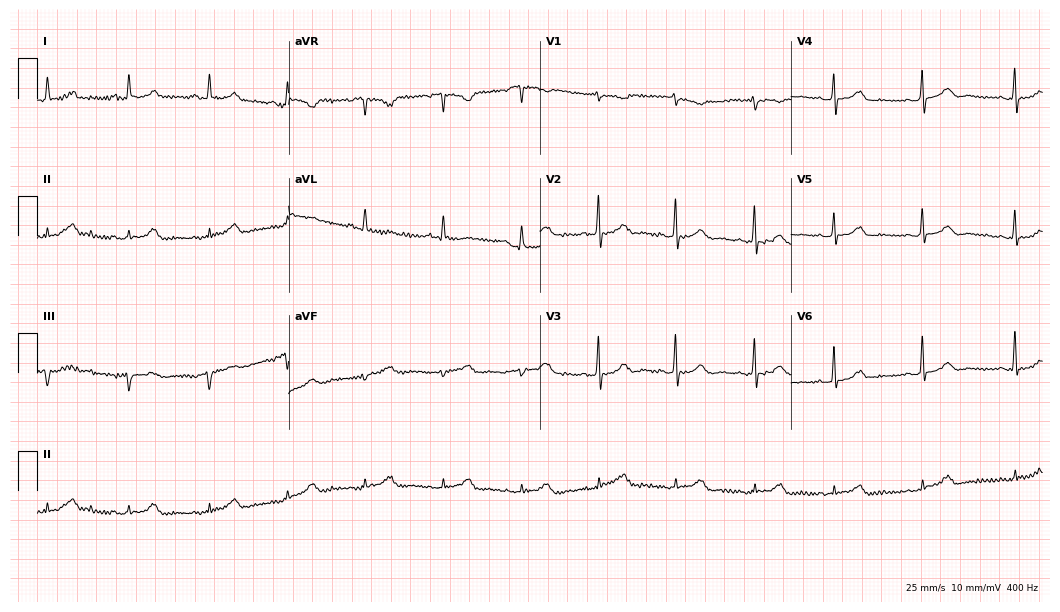
ECG (10.2-second recording at 400 Hz) — a female, 66 years old. Screened for six findings — first-degree AV block, right bundle branch block, left bundle branch block, sinus bradycardia, atrial fibrillation, sinus tachycardia — none is recorded. Only these six findings were labelled.